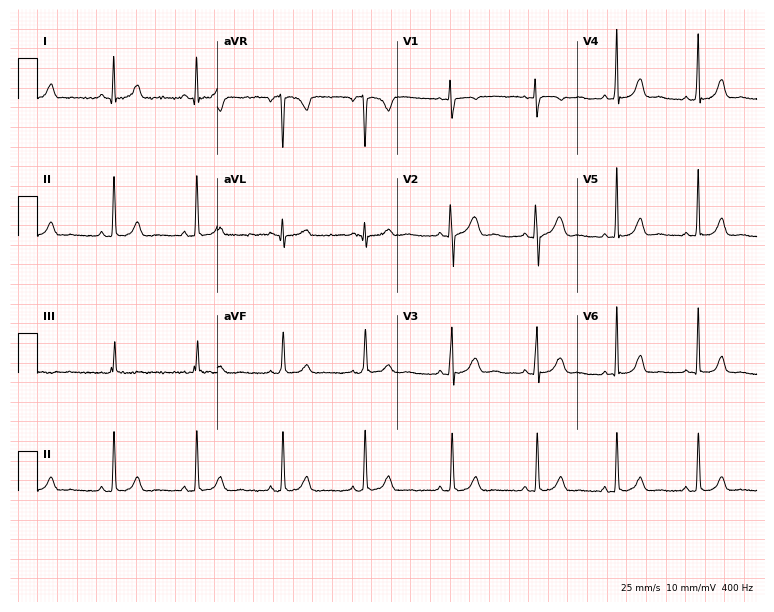
ECG (7.3-second recording at 400 Hz) — a female, 23 years old. Labelled as a normal ECG.